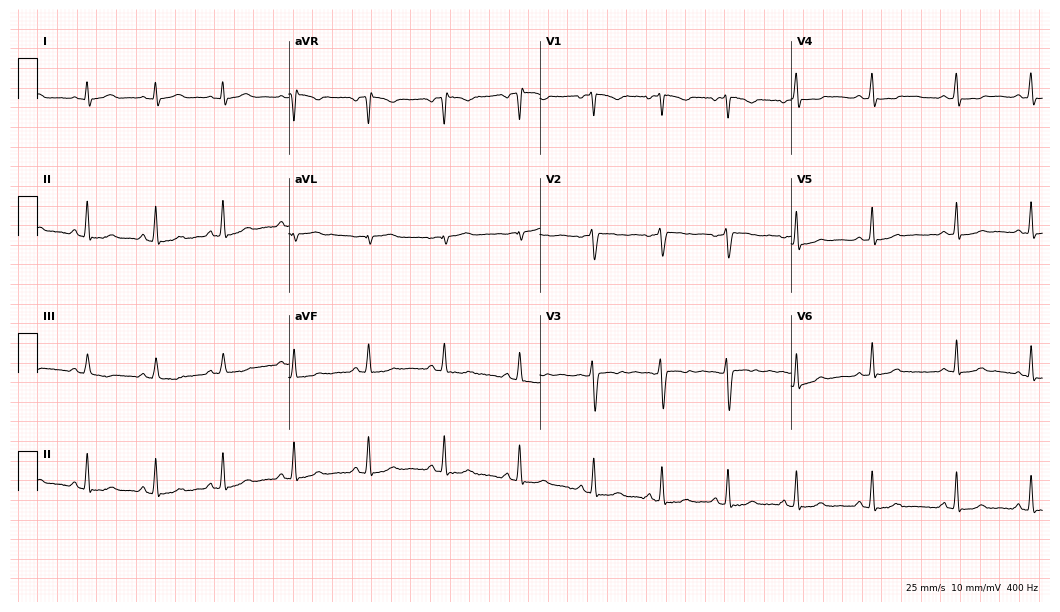
Electrocardiogram (10.2-second recording at 400 Hz), a female, 20 years old. Of the six screened findings (first-degree AV block, right bundle branch block, left bundle branch block, sinus bradycardia, atrial fibrillation, sinus tachycardia), none is recorded.